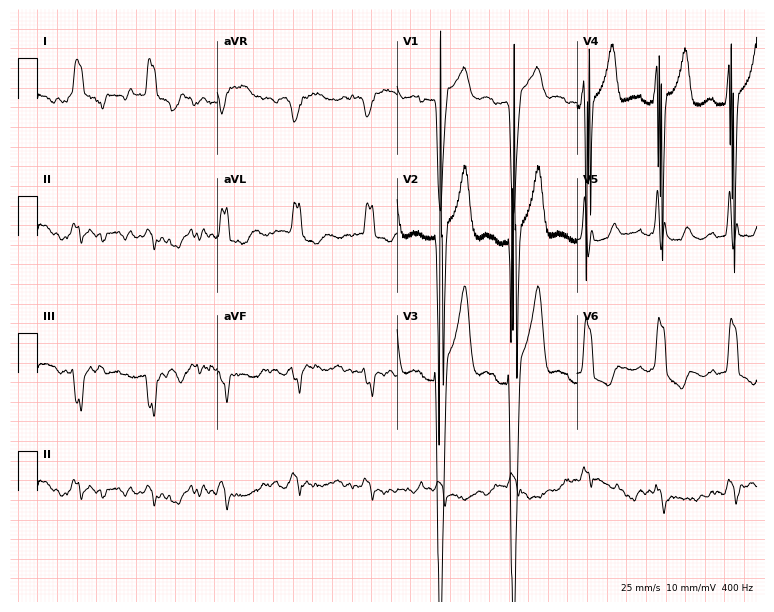
ECG — a 69-year-old female. Screened for six findings — first-degree AV block, right bundle branch block (RBBB), left bundle branch block (LBBB), sinus bradycardia, atrial fibrillation (AF), sinus tachycardia — none is recorded. Only these six findings were labelled.